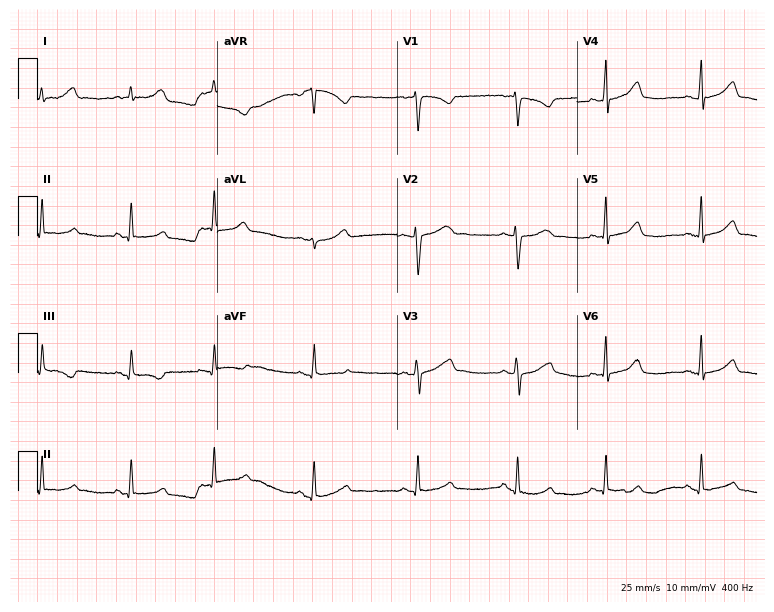
12-lead ECG from a 24-year-old female patient. Recorded interpretation: within normal limits.